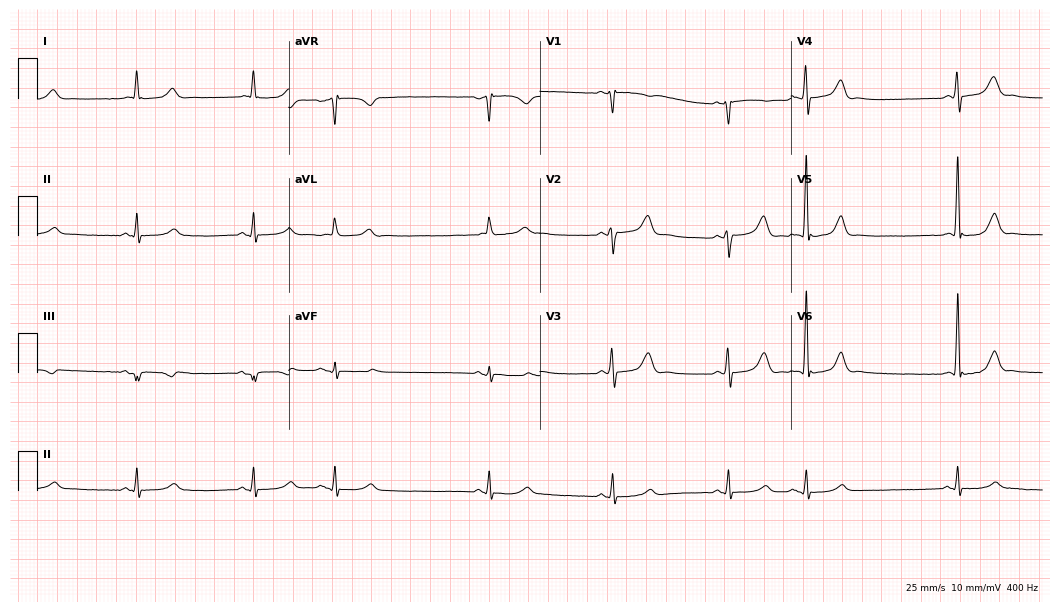
Resting 12-lead electrocardiogram. Patient: a 68-year-old man. None of these six findings is recorded: first-degree AV block, right bundle branch block (RBBB), left bundle branch block (LBBB), sinus bradycardia, atrial fibrillation (AF), sinus tachycardia.